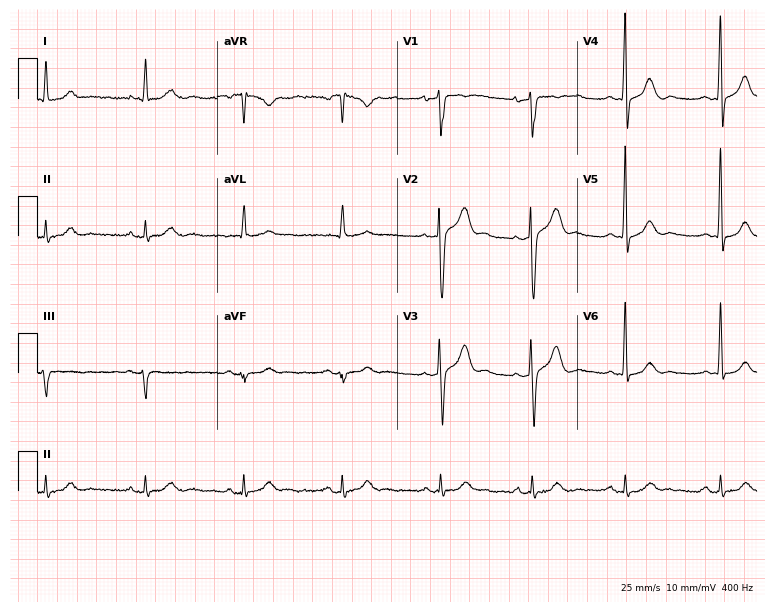
Electrocardiogram, a 69-year-old man. Overall reading on record: normal ECG.